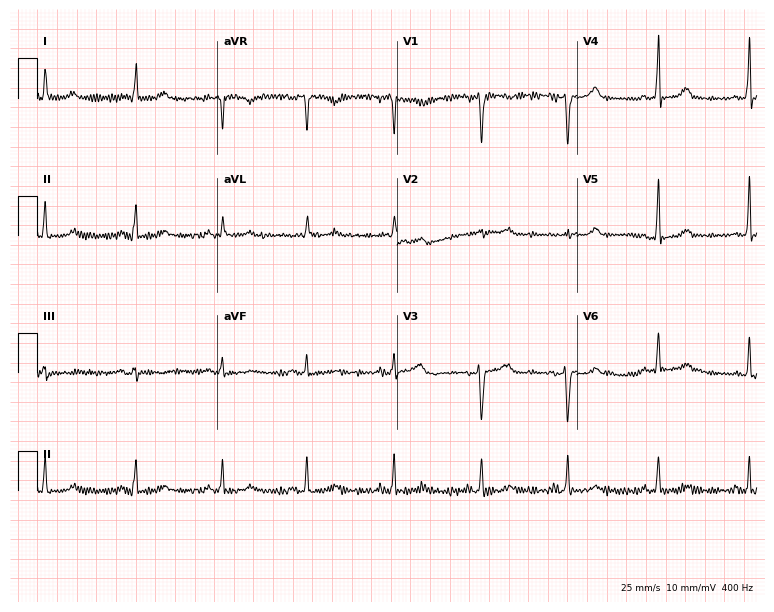
ECG (7.3-second recording at 400 Hz) — a 62-year-old female. Screened for six findings — first-degree AV block, right bundle branch block (RBBB), left bundle branch block (LBBB), sinus bradycardia, atrial fibrillation (AF), sinus tachycardia — none is recorded.